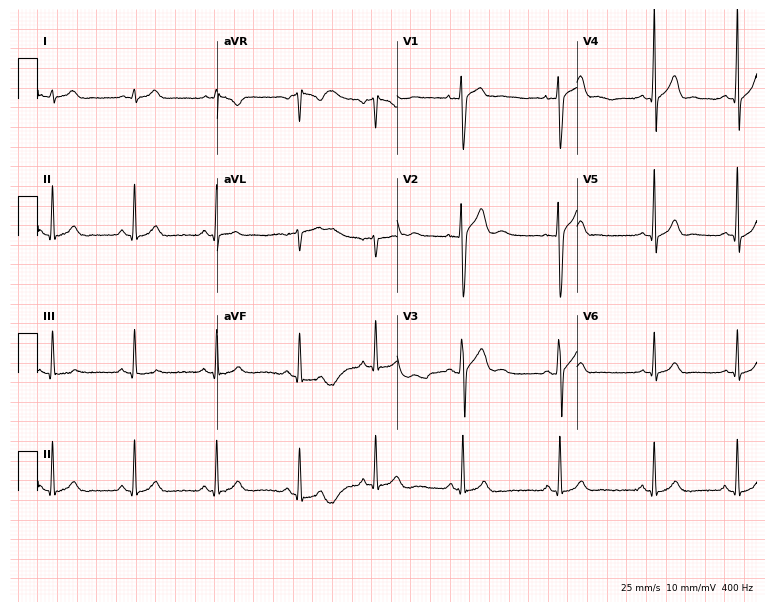
12-lead ECG from a male, 18 years old. Recorded interpretation: within normal limits.